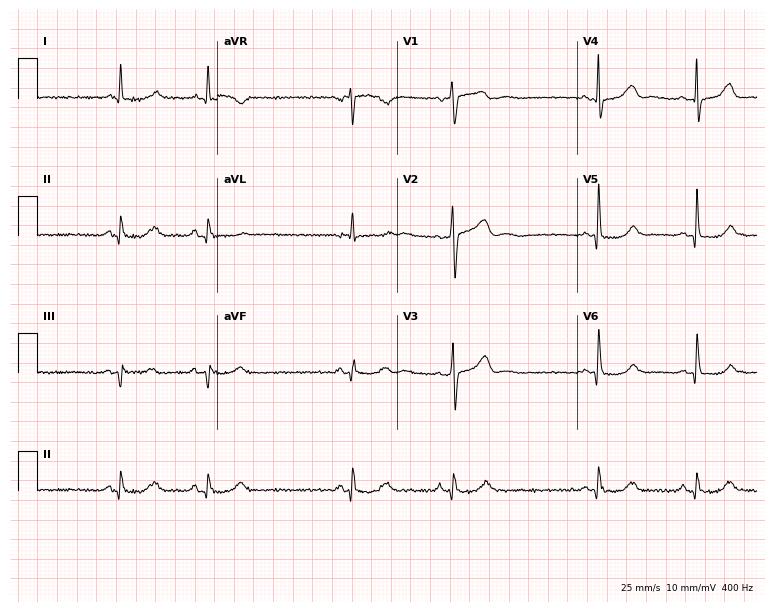
12-lead ECG from a 56-year-old woman (7.3-second recording at 400 Hz). No first-degree AV block, right bundle branch block, left bundle branch block, sinus bradycardia, atrial fibrillation or sinus tachycardia recorded for this tracing. Other findings, if any, are not listed.